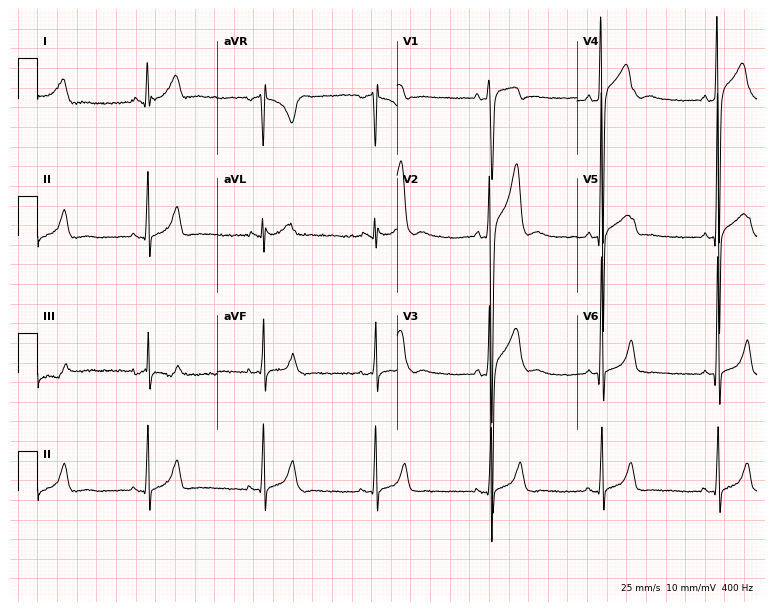
ECG (7.3-second recording at 400 Hz) — a 23-year-old male. Screened for six findings — first-degree AV block, right bundle branch block, left bundle branch block, sinus bradycardia, atrial fibrillation, sinus tachycardia — none is recorded.